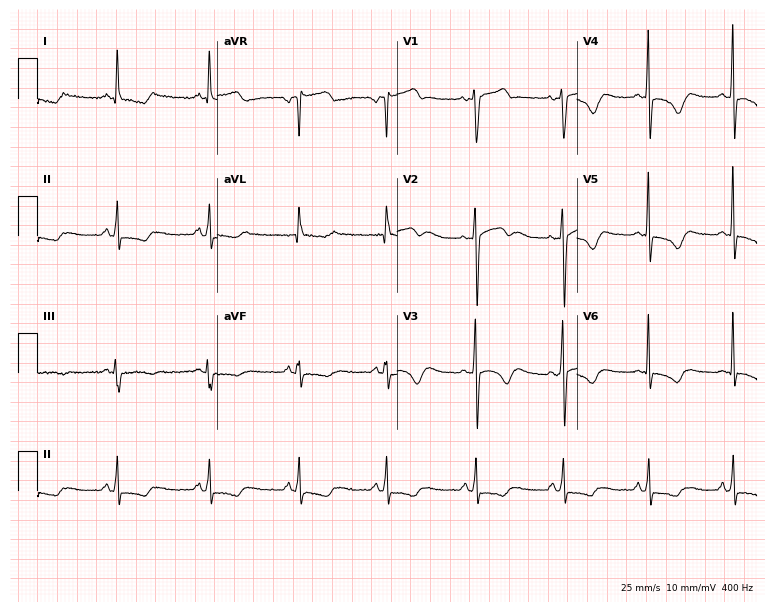
Resting 12-lead electrocardiogram (7.3-second recording at 400 Hz). Patient: a 48-year-old female. None of these six findings is recorded: first-degree AV block, right bundle branch block, left bundle branch block, sinus bradycardia, atrial fibrillation, sinus tachycardia. Findings outside these six are not listed.